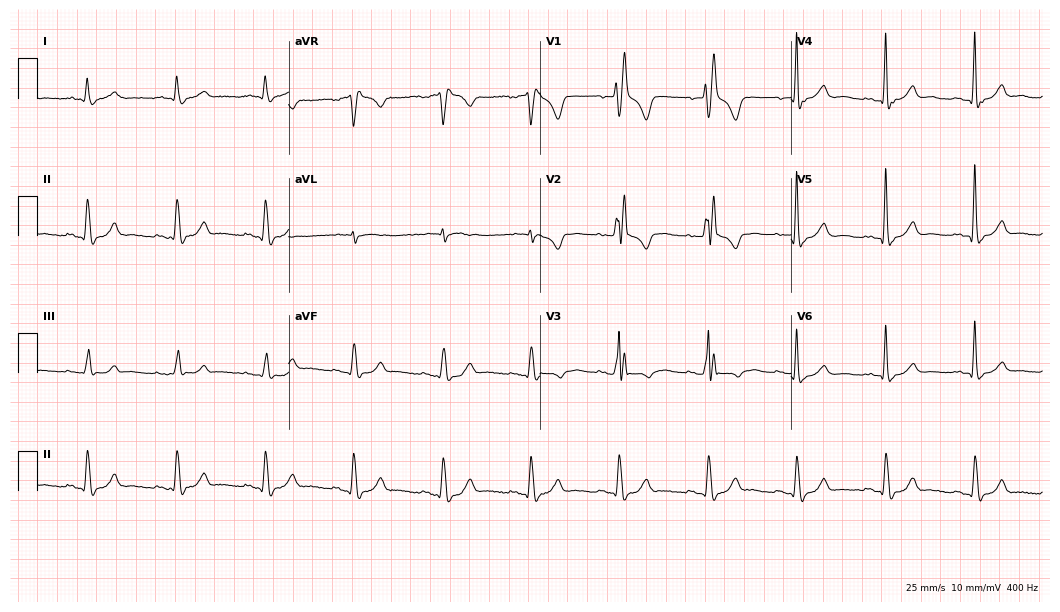
12-lead ECG (10.2-second recording at 400 Hz) from a man, 54 years old. Screened for six findings — first-degree AV block, right bundle branch block, left bundle branch block, sinus bradycardia, atrial fibrillation, sinus tachycardia — none is recorded. Only these six findings were labelled.